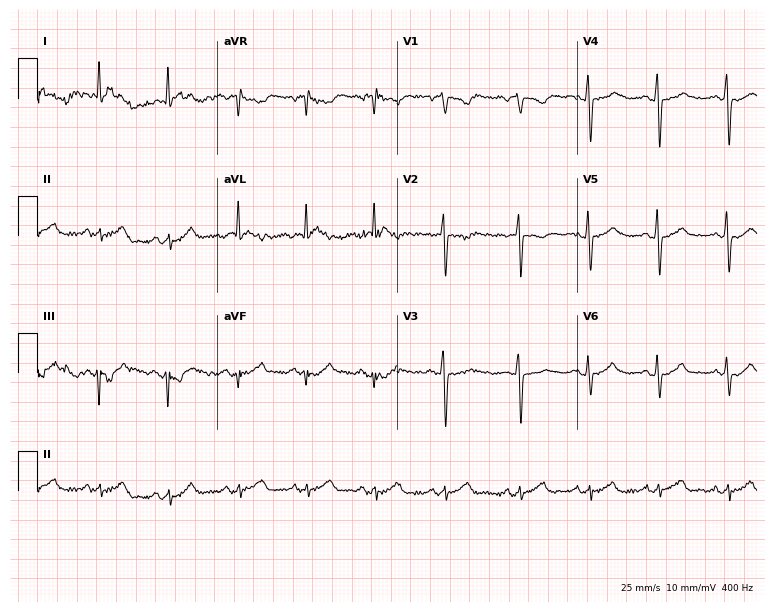
12-lead ECG (7.3-second recording at 400 Hz) from a female, 62 years old. Screened for six findings — first-degree AV block, right bundle branch block, left bundle branch block, sinus bradycardia, atrial fibrillation, sinus tachycardia — none is recorded.